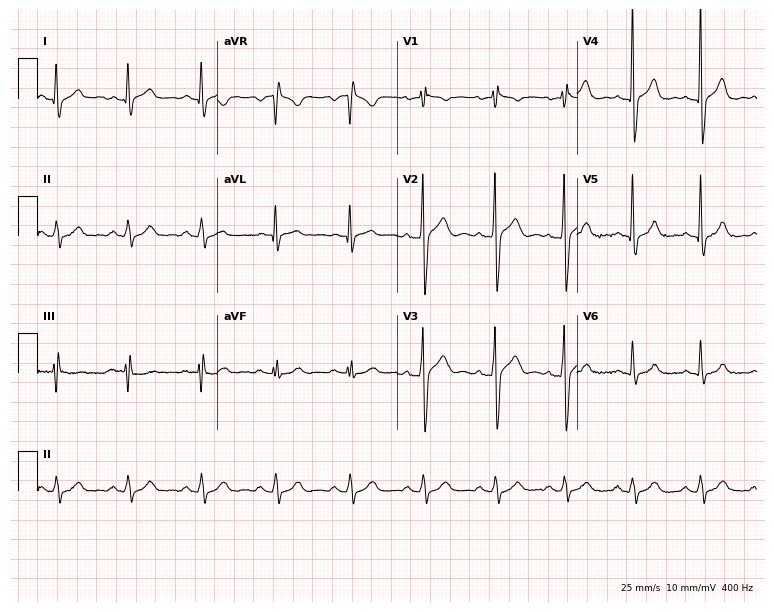
Electrocardiogram, a 50-year-old man. Overall reading on record: normal ECG.